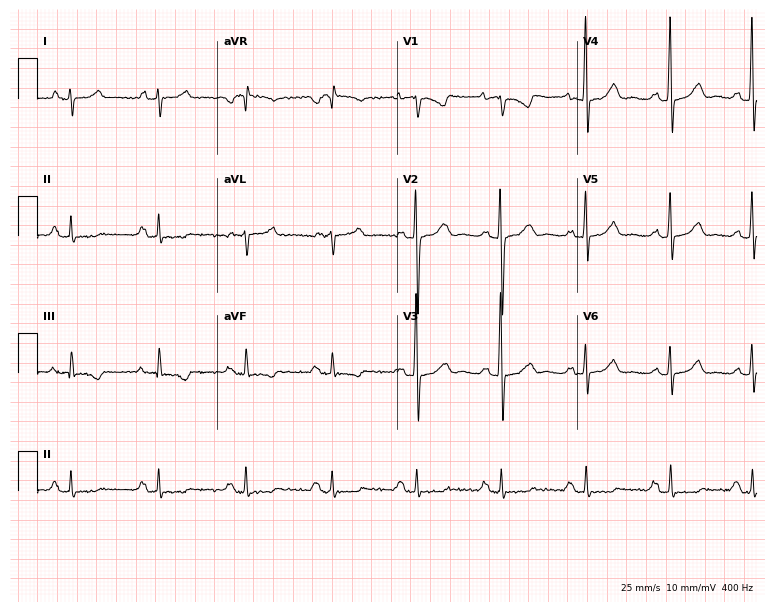
ECG — a 75-year-old male patient. Screened for six findings — first-degree AV block, right bundle branch block (RBBB), left bundle branch block (LBBB), sinus bradycardia, atrial fibrillation (AF), sinus tachycardia — none is recorded.